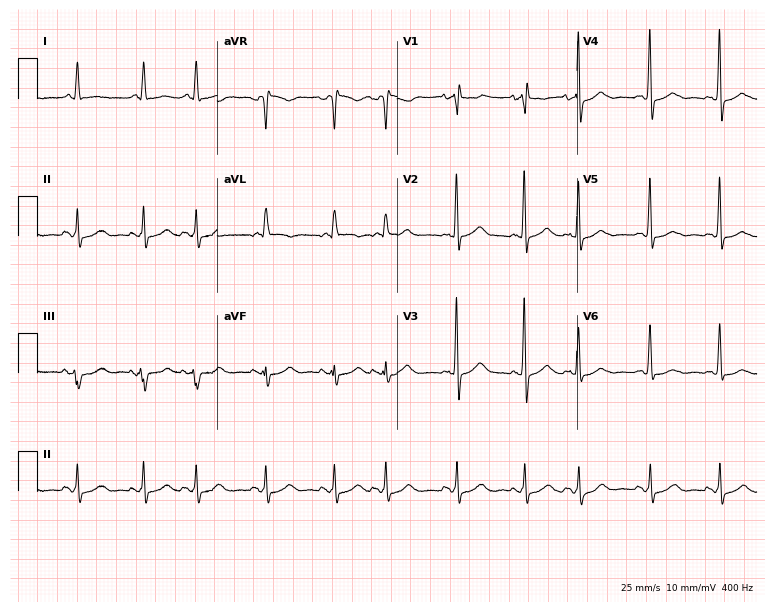
12-lead ECG from a 79-year-old woman. No first-degree AV block, right bundle branch block (RBBB), left bundle branch block (LBBB), sinus bradycardia, atrial fibrillation (AF) or sinus tachycardia recorded for this tracing.